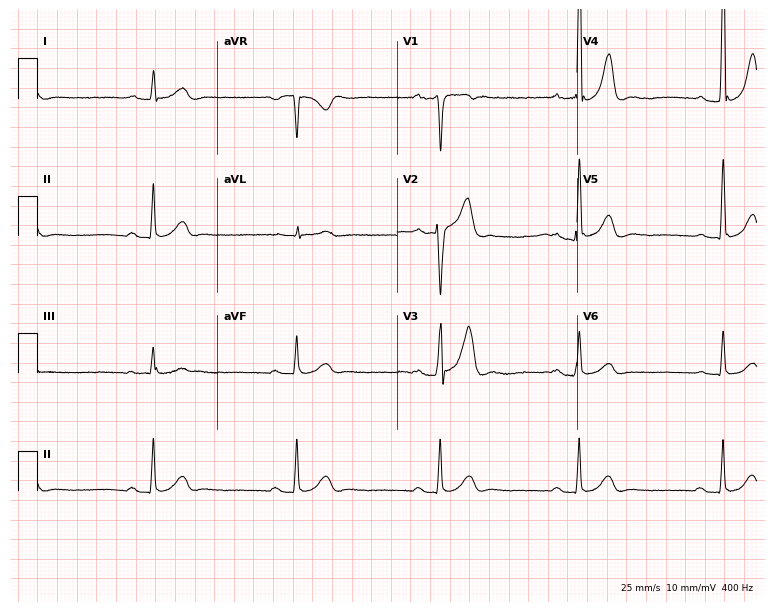
ECG (7.3-second recording at 400 Hz) — a male, 32 years old. Findings include first-degree AV block, right bundle branch block, sinus bradycardia (a sinus rate of 50 beats per minute or less).